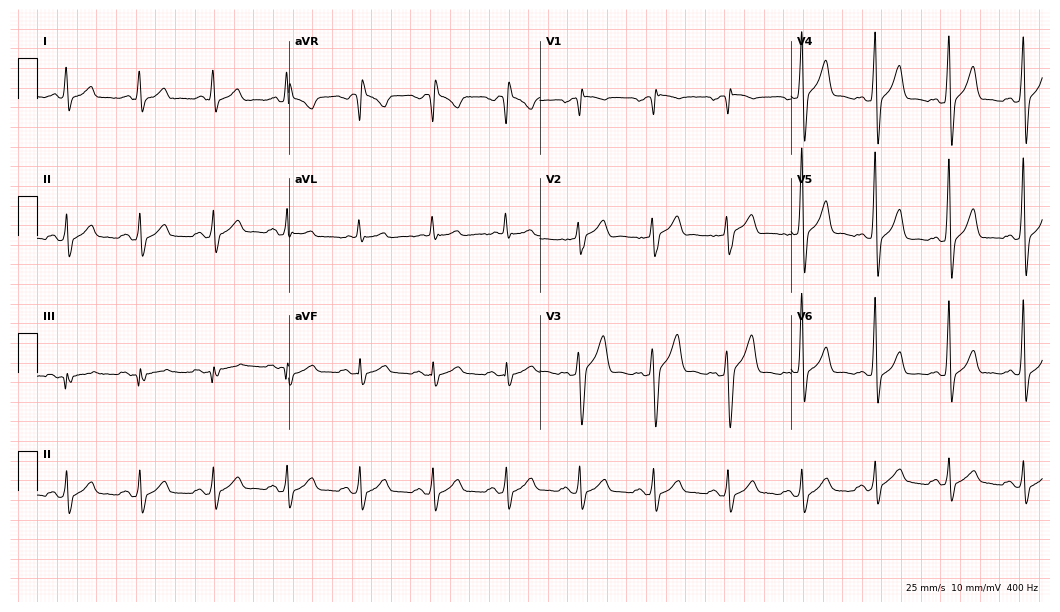
12-lead ECG from a 63-year-old male patient (10.2-second recording at 400 Hz). Recorded interpretation: within normal limits.